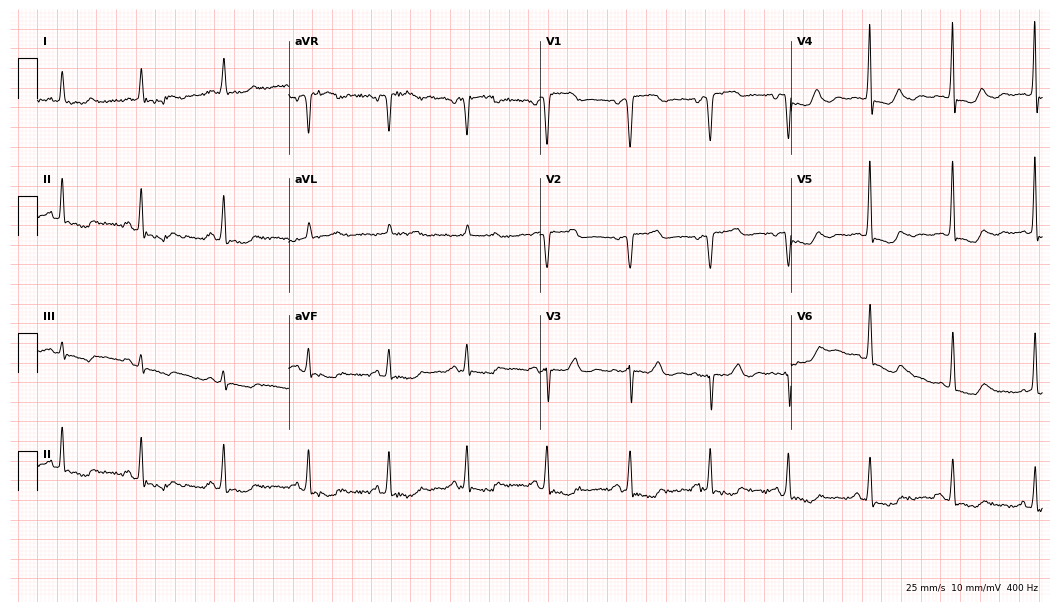
12-lead ECG (10.2-second recording at 400 Hz) from a 71-year-old female patient. Labelled as a normal ECG.